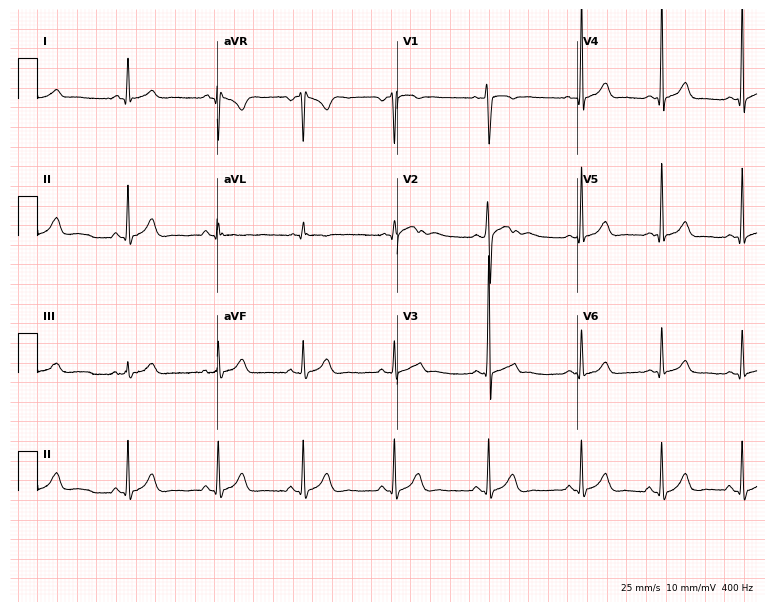
Electrocardiogram (7.3-second recording at 400 Hz), a male, 18 years old. Overall reading on record: normal ECG.